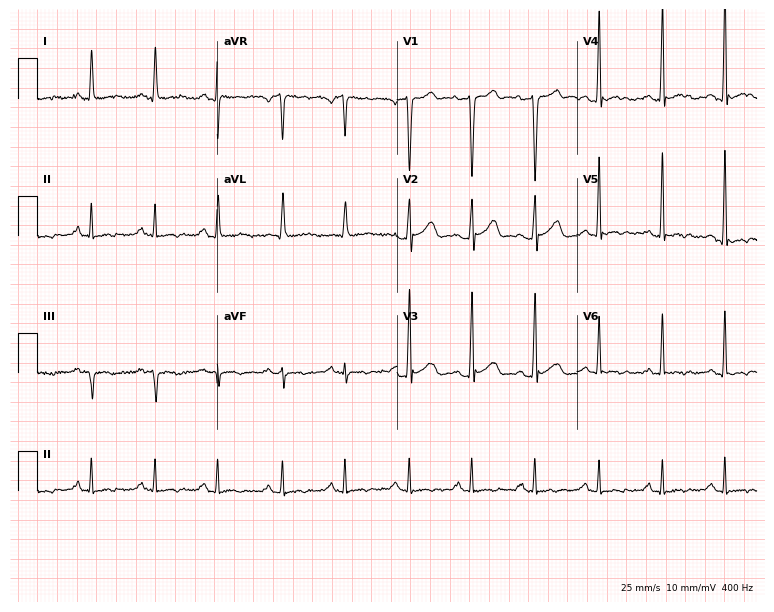
Electrocardiogram, an 81-year-old man. Of the six screened findings (first-degree AV block, right bundle branch block (RBBB), left bundle branch block (LBBB), sinus bradycardia, atrial fibrillation (AF), sinus tachycardia), none is recorded.